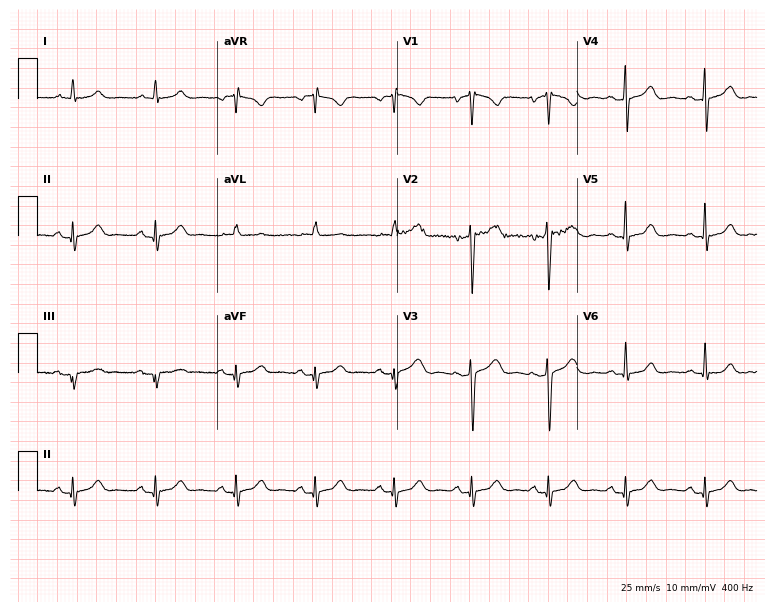
Resting 12-lead electrocardiogram (7.3-second recording at 400 Hz). Patient: a man, 31 years old. Read as a normal ECG.